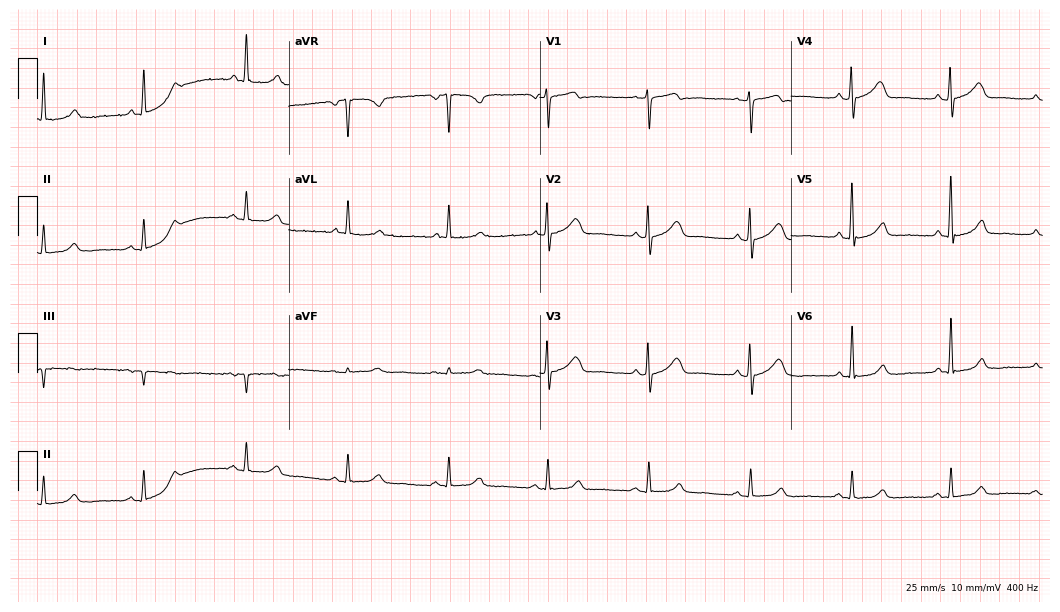
ECG (10.2-second recording at 400 Hz) — a female, 52 years old. Labelled as a normal ECG.